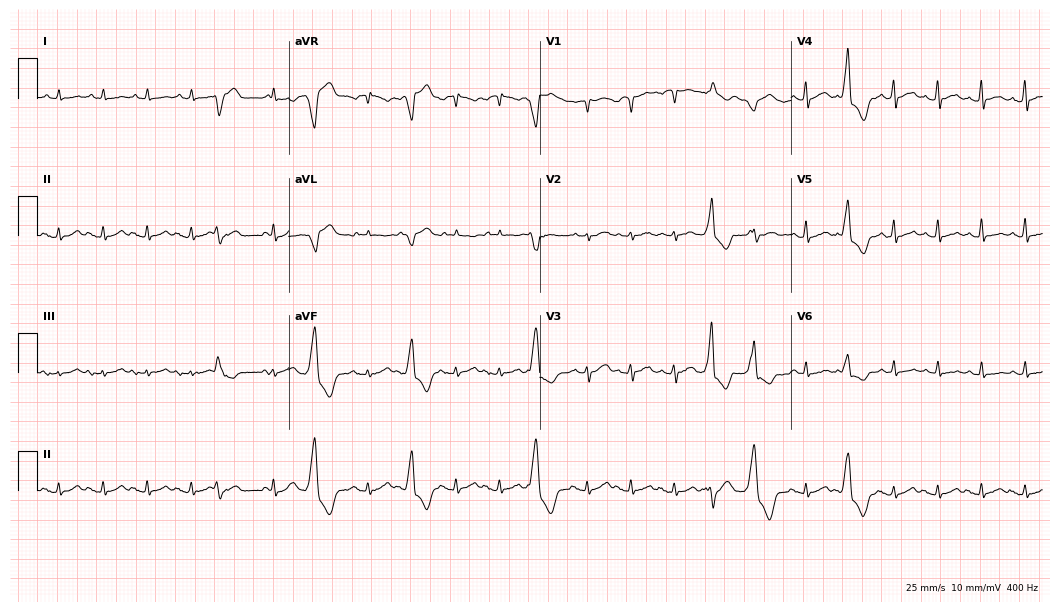
Resting 12-lead electrocardiogram (10.2-second recording at 400 Hz). Patient: a male, 67 years old. The tracing shows sinus tachycardia (a sinus rate of 100 beats per minute or more).